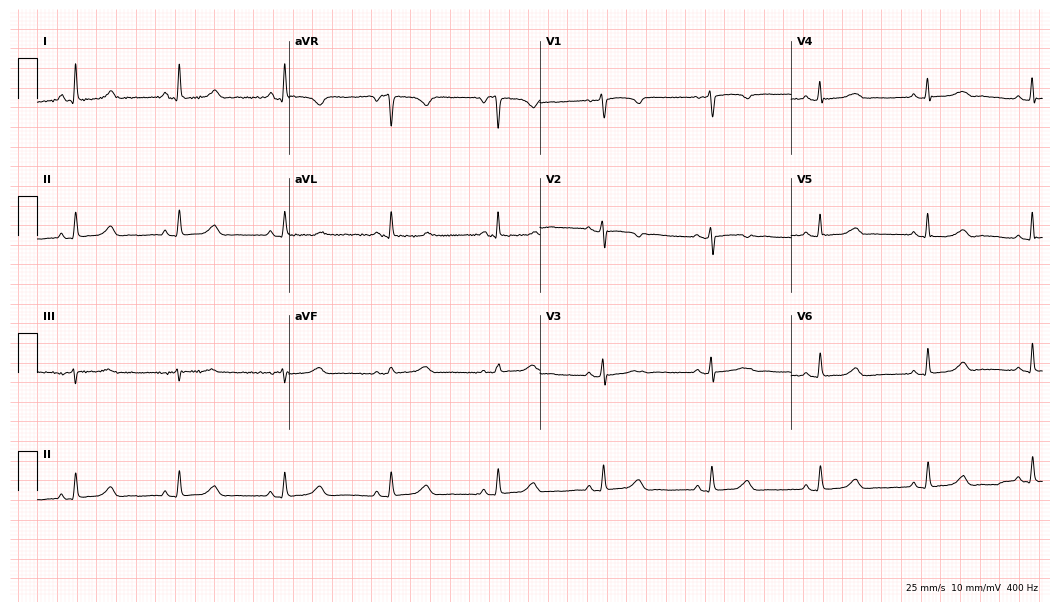
12-lead ECG from a 53-year-old female. Labelled as a normal ECG.